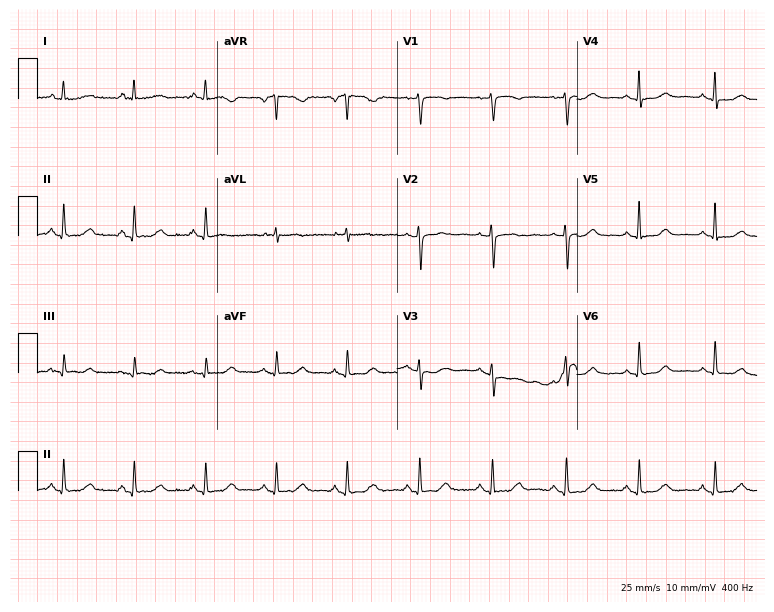
Electrocardiogram (7.3-second recording at 400 Hz), an 84-year-old female patient. Overall reading on record: normal ECG.